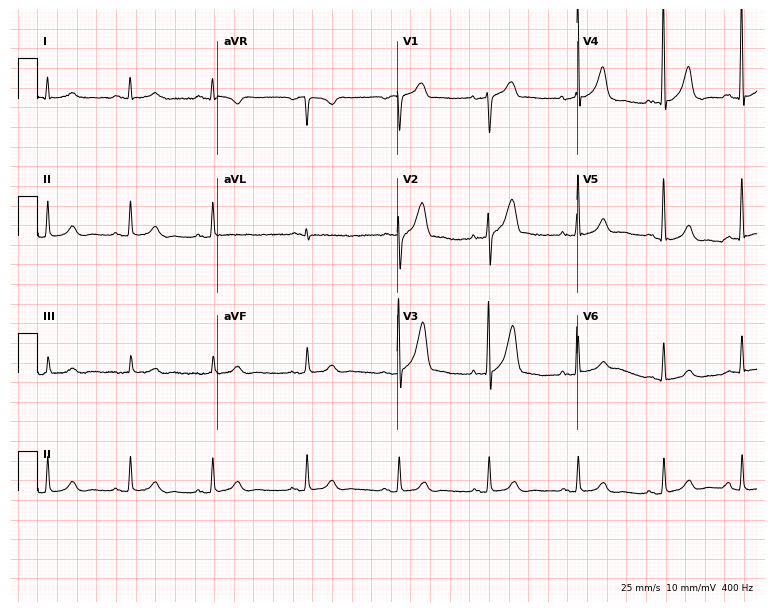
12-lead ECG from an 80-year-old man (7.3-second recording at 400 Hz). Recorded interpretation: within normal limits.